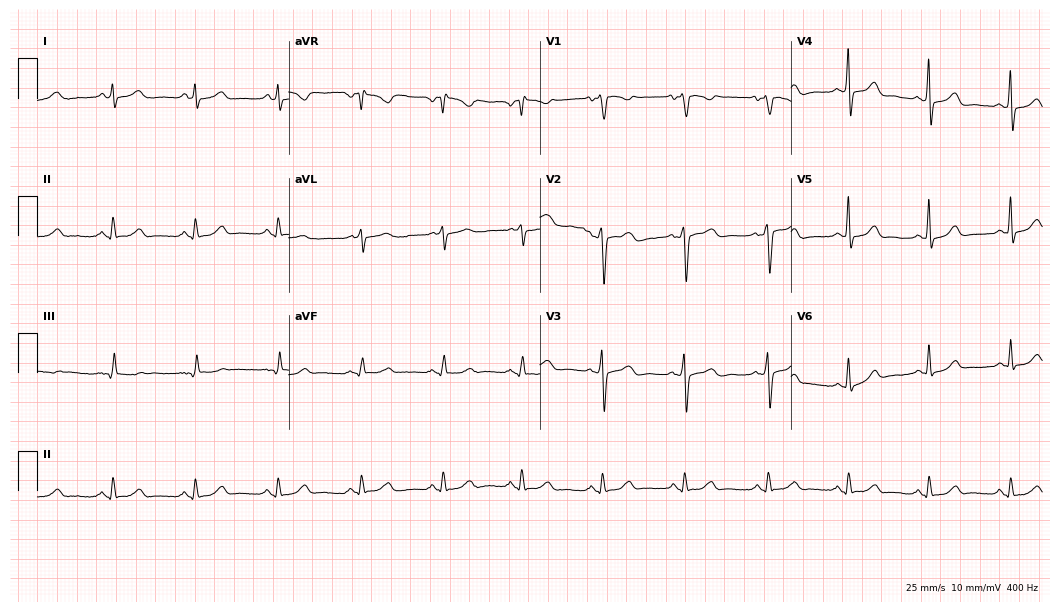
Standard 12-lead ECG recorded from a female, 49 years old. Read as a normal ECG.